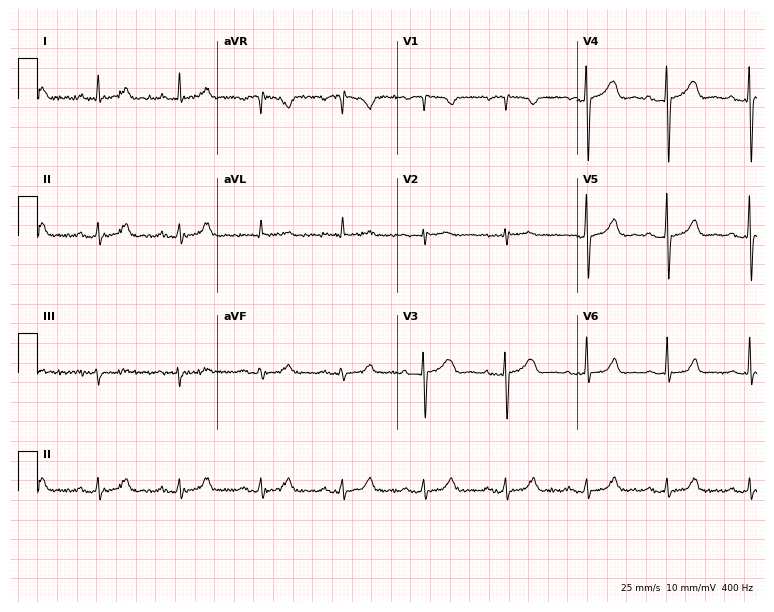
Electrocardiogram, a 63-year-old woman. Of the six screened findings (first-degree AV block, right bundle branch block, left bundle branch block, sinus bradycardia, atrial fibrillation, sinus tachycardia), none is recorded.